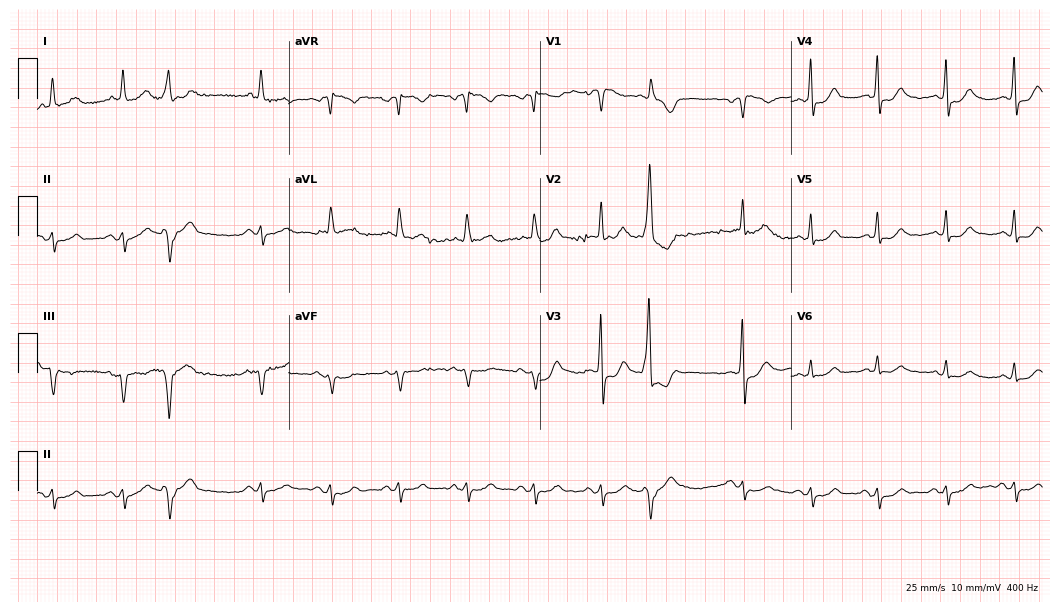
ECG — a male patient, 67 years old. Screened for six findings — first-degree AV block, right bundle branch block (RBBB), left bundle branch block (LBBB), sinus bradycardia, atrial fibrillation (AF), sinus tachycardia — none is recorded. Only these six findings were labelled.